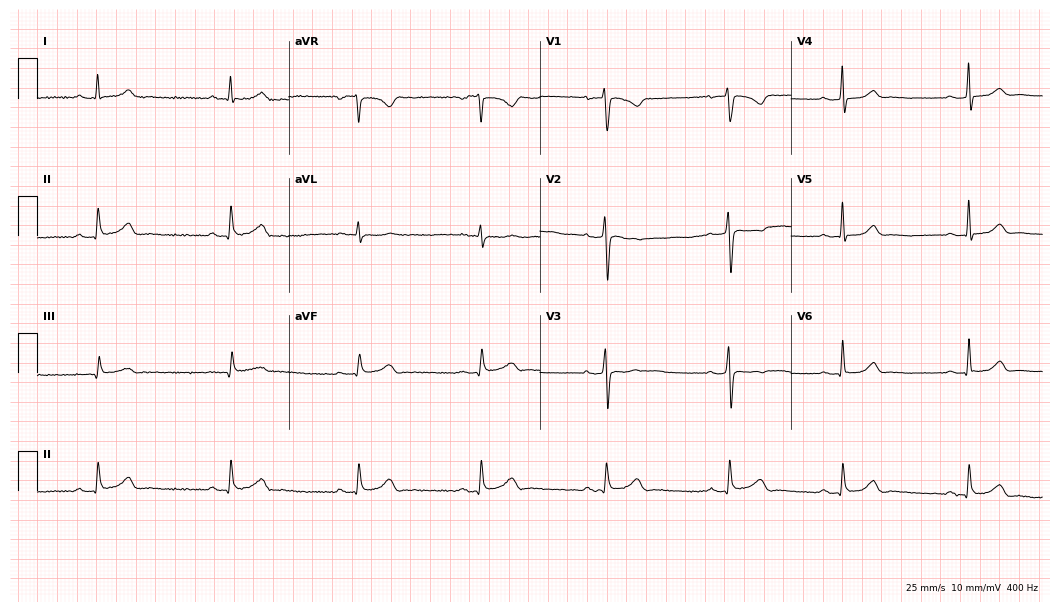
12-lead ECG (10.2-second recording at 400 Hz) from a woman, 24 years old. Labelled as a normal ECG.